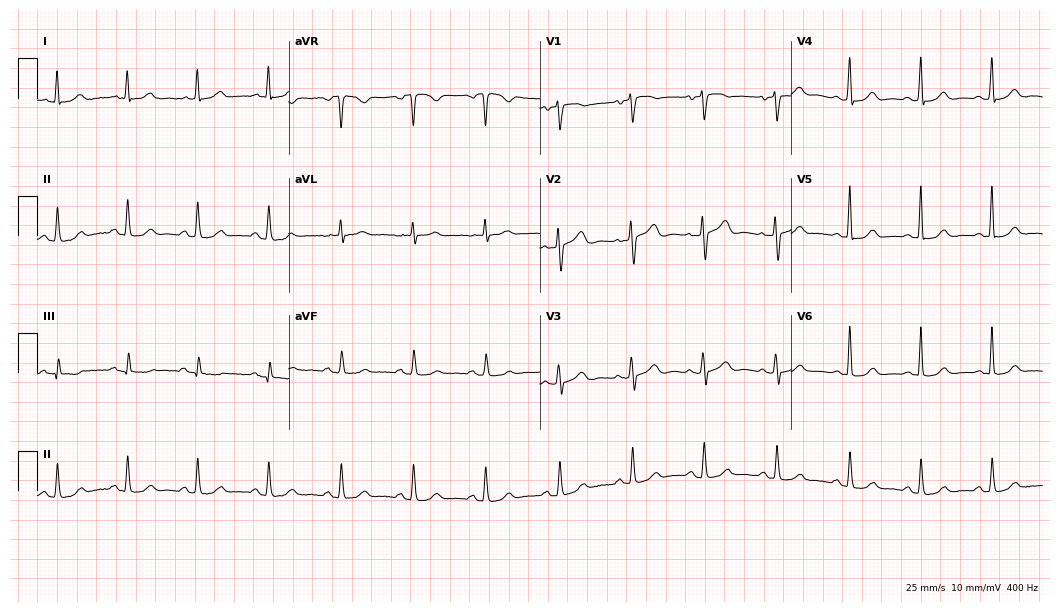
Standard 12-lead ECG recorded from a woman, 85 years old (10.2-second recording at 400 Hz). Read as a normal ECG.